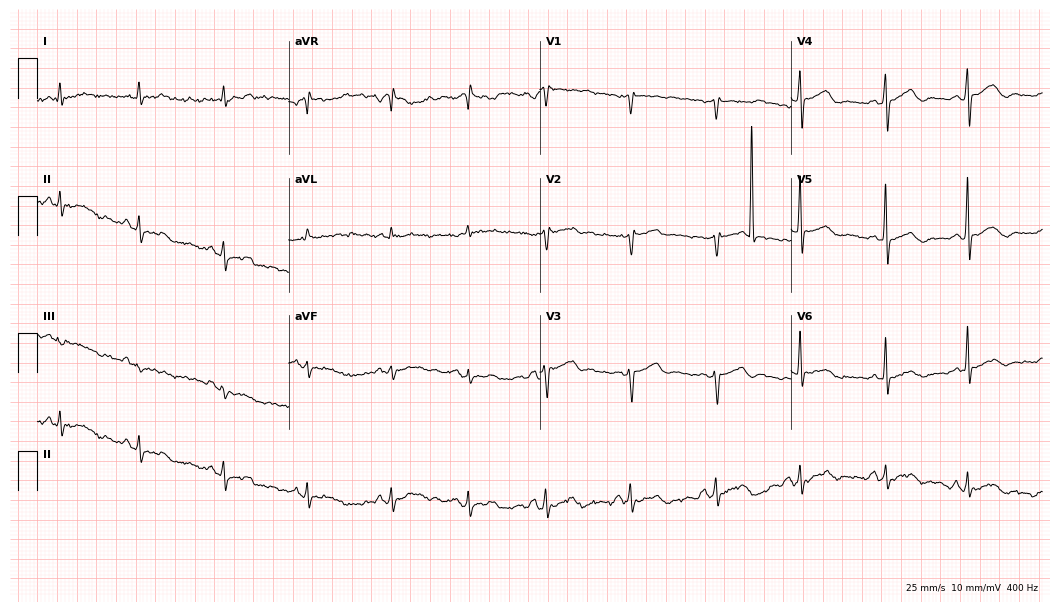
Resting 12-lead electrocardiogram (10.2-second recording at 400 Hz). Patient: a 61-year-old female. None of these six findings is recorded: first-degree AV block, right bundle branch block, left bundle branch block, sinus bradycardia, atrial fibrillation, sinus tachycardia.